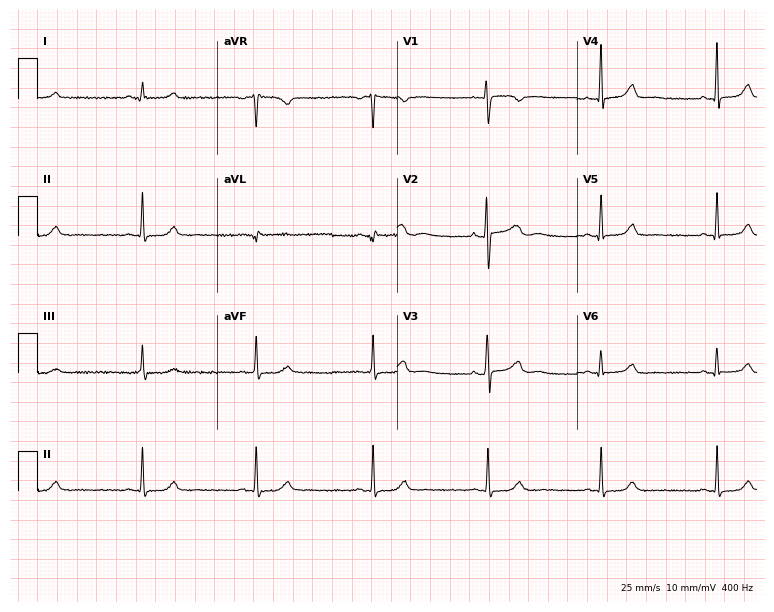
ECG — a 42-year-old woman. Screened for six findings — first-degree AV block, right bundle branch block (RBBB), left bundle branch block (LBBB), sinus bradycardia, atrial fibrillation (AF), sinus tachycardia — none is recorded.